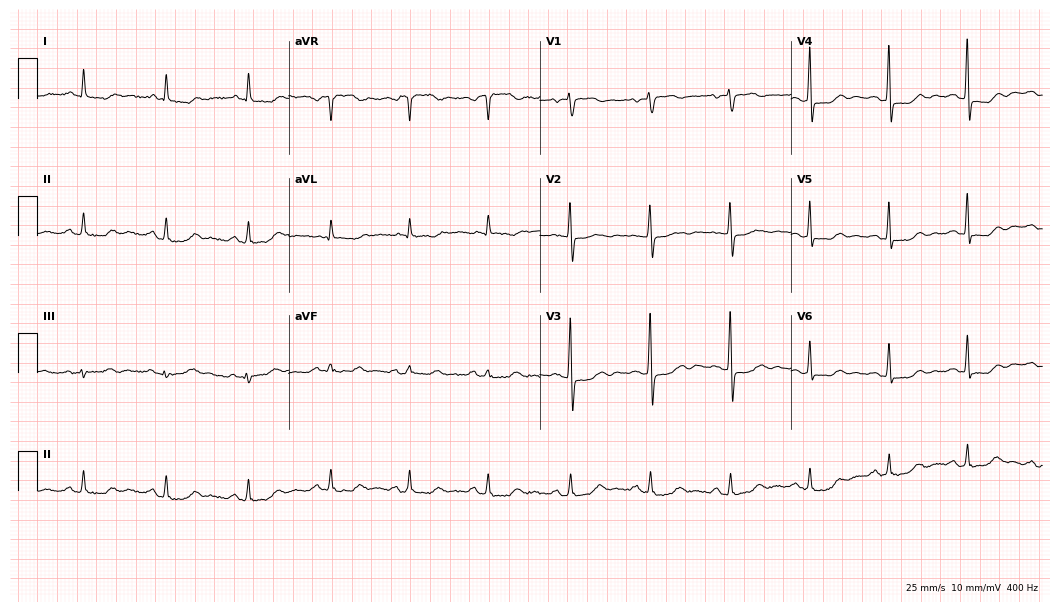
Resting 12-lead electrocardiogram (10.2-second recording at 400 Hz). Patient: a 67-year-old female. None of these six findings is recorded: first-degree AV block, right bundle branch block, left bundle branch block, sinus bradycardia, atrial fibrillation, sinus tachycardia.